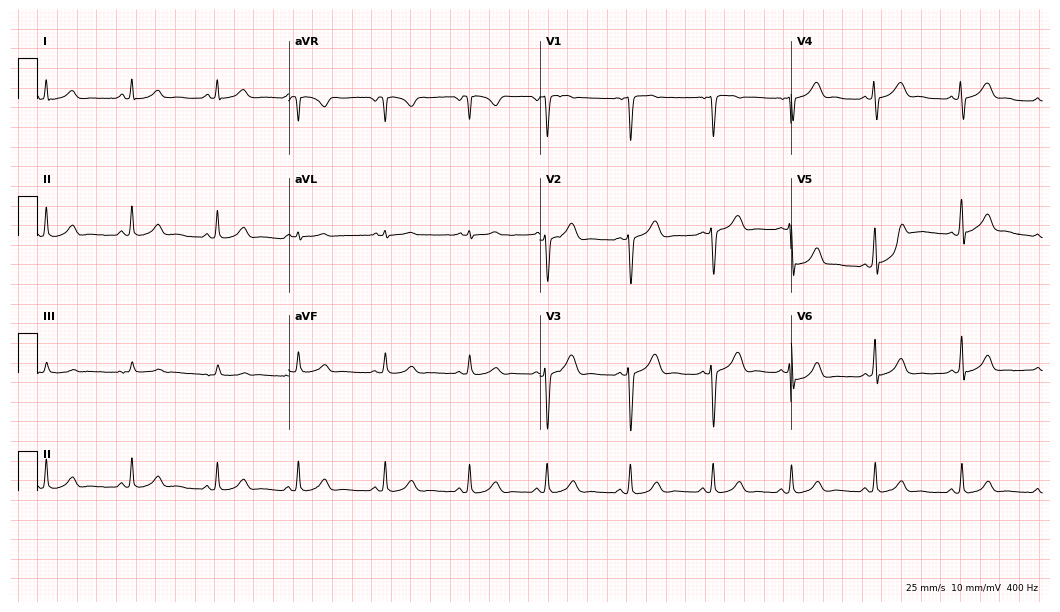
Resting 12-lead electrocardiogram (10.2-second recording at 400 Hz). Patient: a female, 22 years old. None of these six findings is recorded: first-degree AV block, right bundle branch block (RBBB), left bundle branch block (LBBB), sinus bradycardia, atrial fibrillation (AF), sinus tachycardia. Findings outside these six are not listed.